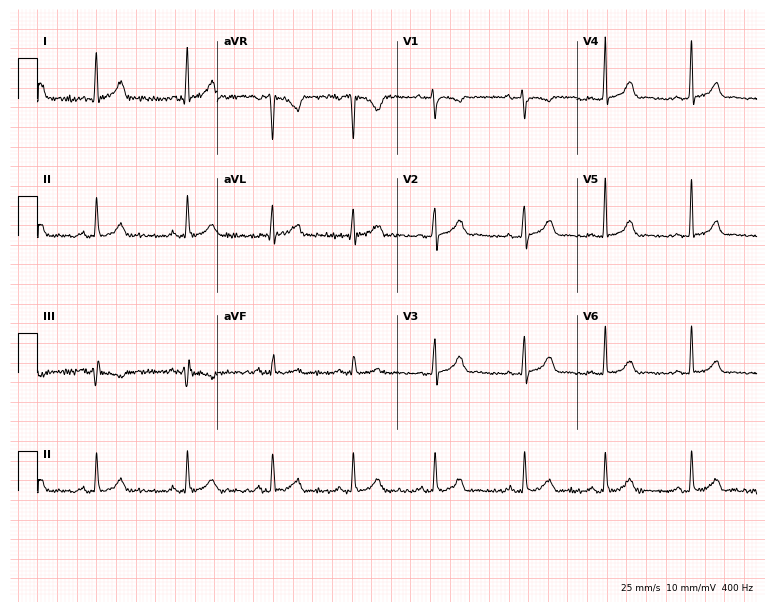
Resting 12-lead electrocardiogram. Patient: a 35-year-old woman. None of these six findings is recorded: first-degree AV block, right bundle branch block (RBBB), left bundle branch block (LBBB), sinus bradycardia, atrial fibrillation (AF), sinus tachycardia. Only these six findings were labelled.